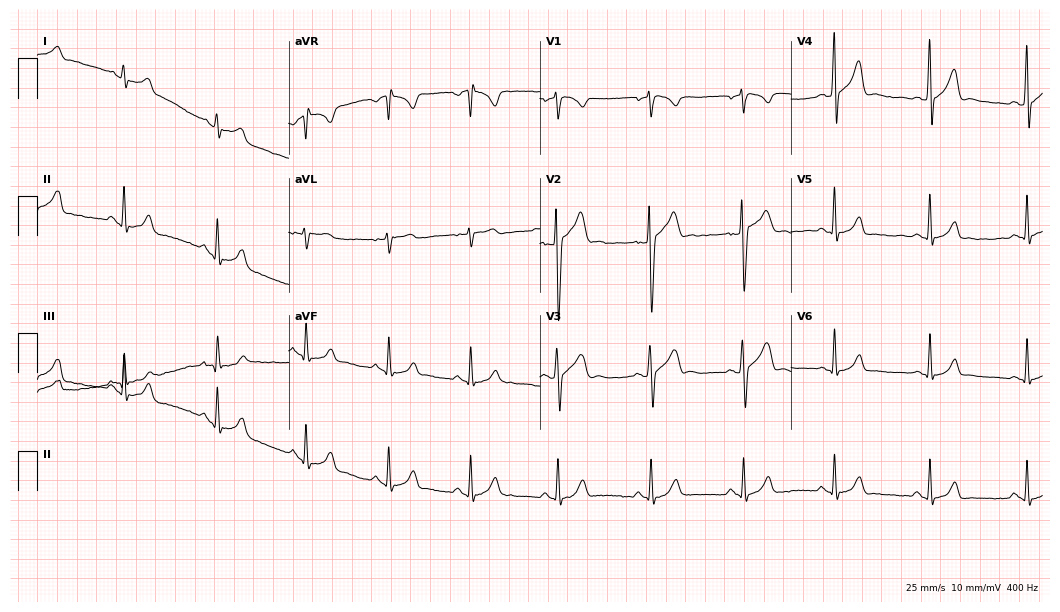
Standard 12-lead ECG recorded from a 19-year-old man (10.2-second recording at 400 Hz). Read as a normal ECG.